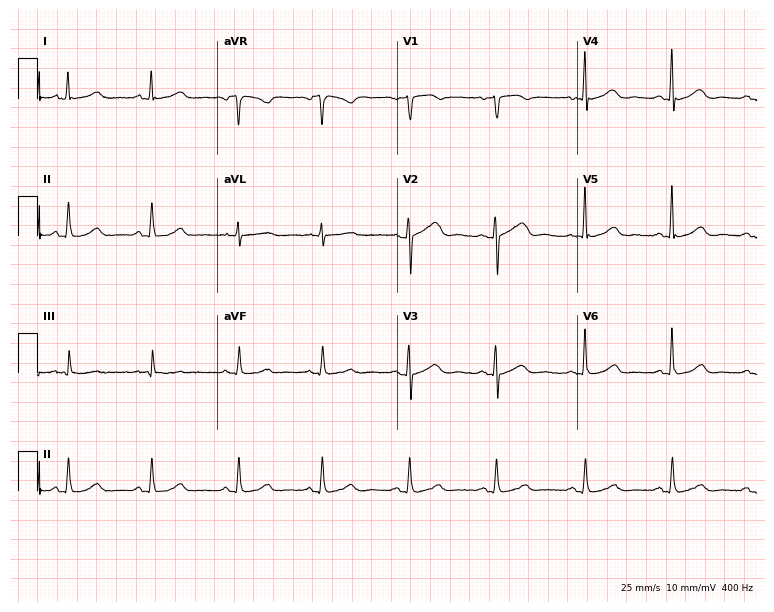
ECG — a 55-year-old female. Labelled as a normal ECG.